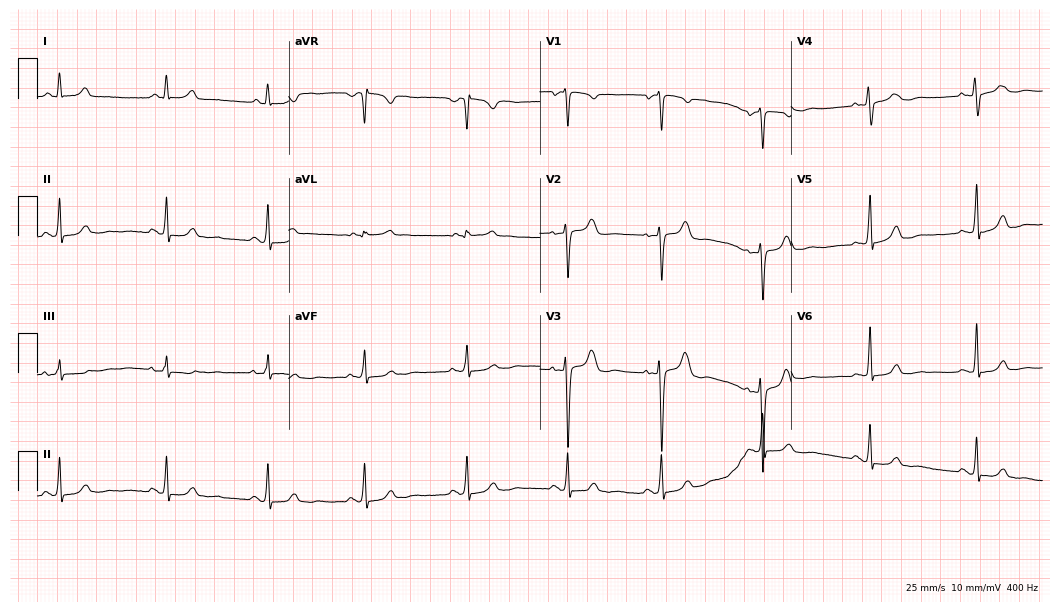
ECG — a 49-year-old female patient. Screened for six findings — first-degree AV block, right bundle branch block (RBBB), left bundle branch block (LBBB), sinus bradycardia, atrial fibrillation (AF), sinus tachycardia — none is recorded.